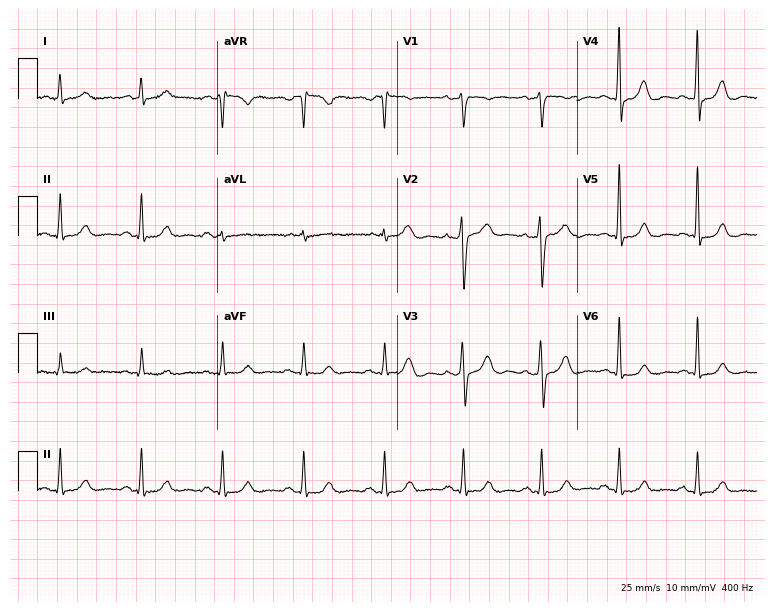
12-lead ECG from a 60-year-old male patient (7.3-second recording at 400 Hz). Recorded interpretation: within normal limits.